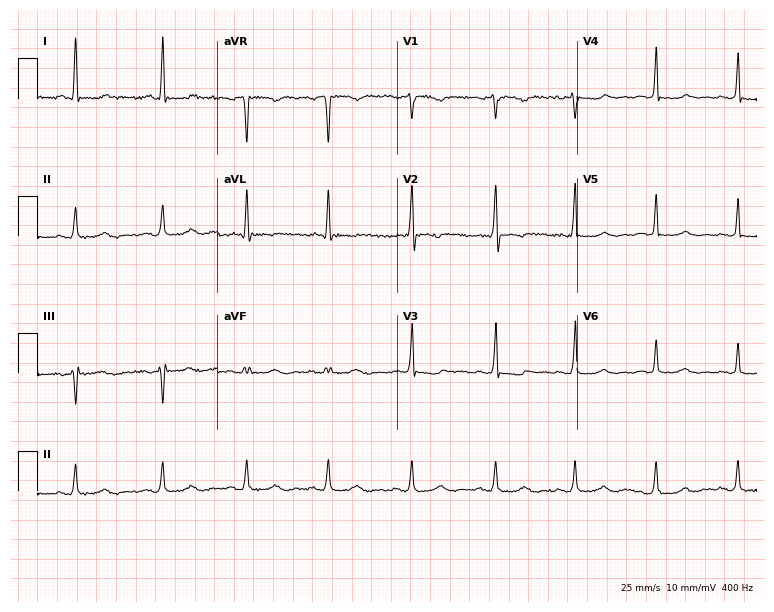
ECG (7.3-second recording at 400 Hz) — a woman, 47 years old. Screened for six findings — first-degree AV block, right bundle branch block, left bundle branch block, sinus bradycardia, atrial fibrillation, sinus tachycardia — none is recorded.